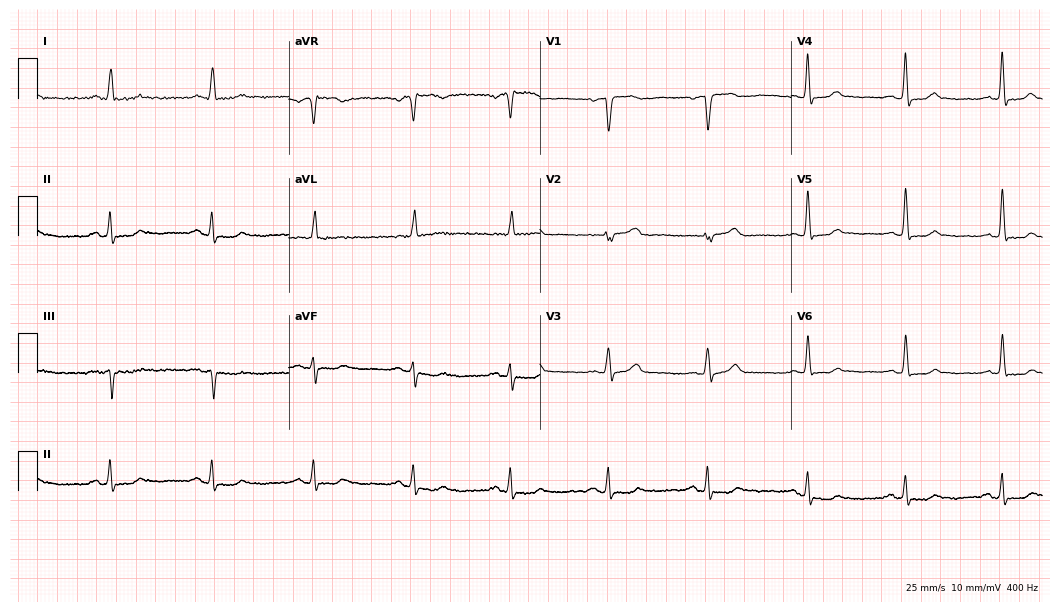
12-lead ECG from a female patient, 67 years old. Labelled as a normal ECG.